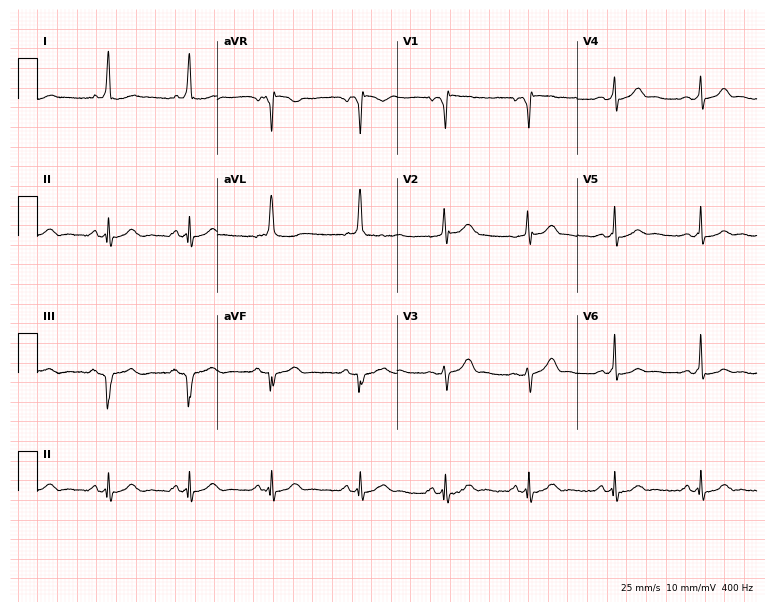
Standard 12-lead ECG recorded from a male patient, 32 years old (7.3-second recording at 400 Hz). None of these six findings is recorded: first-degree AV block, right bundle branch block (RBBB), left bundle branch block (LBBB), sinus bradycardia, atrial fibrillation (AF), sinus tachycardia. Findings outside these six are not listed.